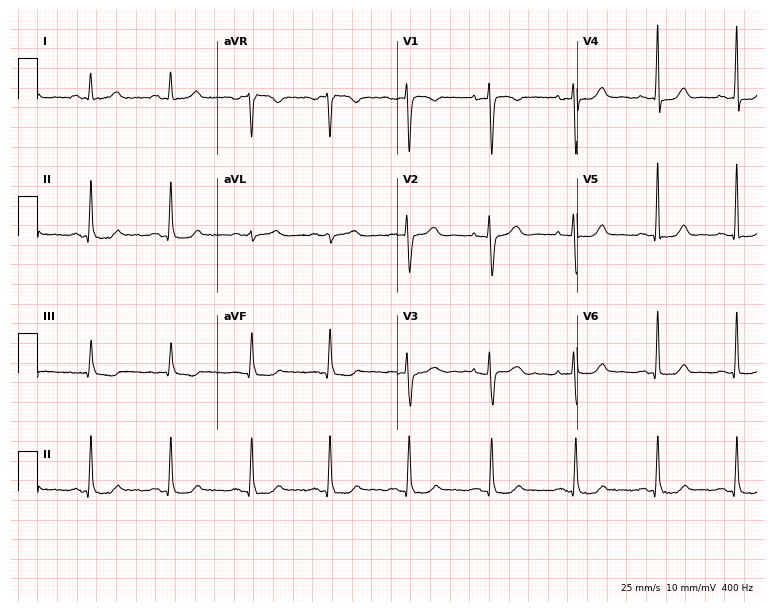
Electrocardiogram, a 46-year-old woman. Of the six screened findings (first-degree AV block, right bundle branch block (RBBB), left bundle branch block (LBBB), sinus bradycardia, atrial fibrillation (AF), sinus tachycardia), none is recorded. Only these six findings were labelled.